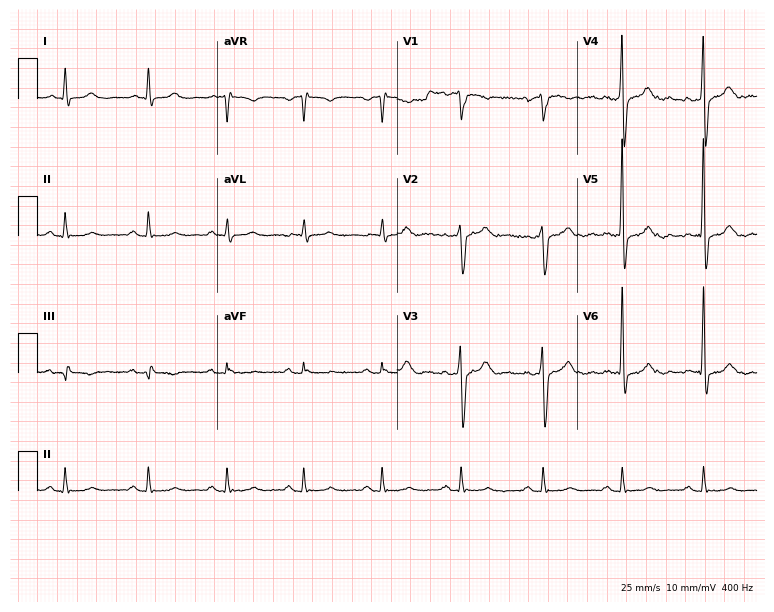
12-lead ECG from a male, 55 years old (7.3-second recording at 400 Hz). No first-degree AV block, right bundle branch block, left bundle branch block, sinus bradycardia, atrial fibrillation or sinus tachycardia recorded for this tracing. Findings outside these six are not listed.